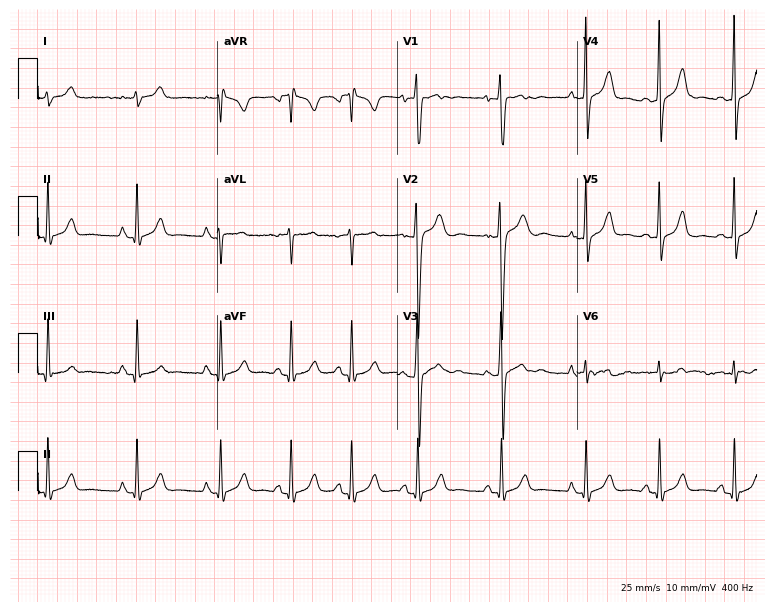
12-lead ECG from a 17-year-old male. Recorded interpretation: within normal limits.